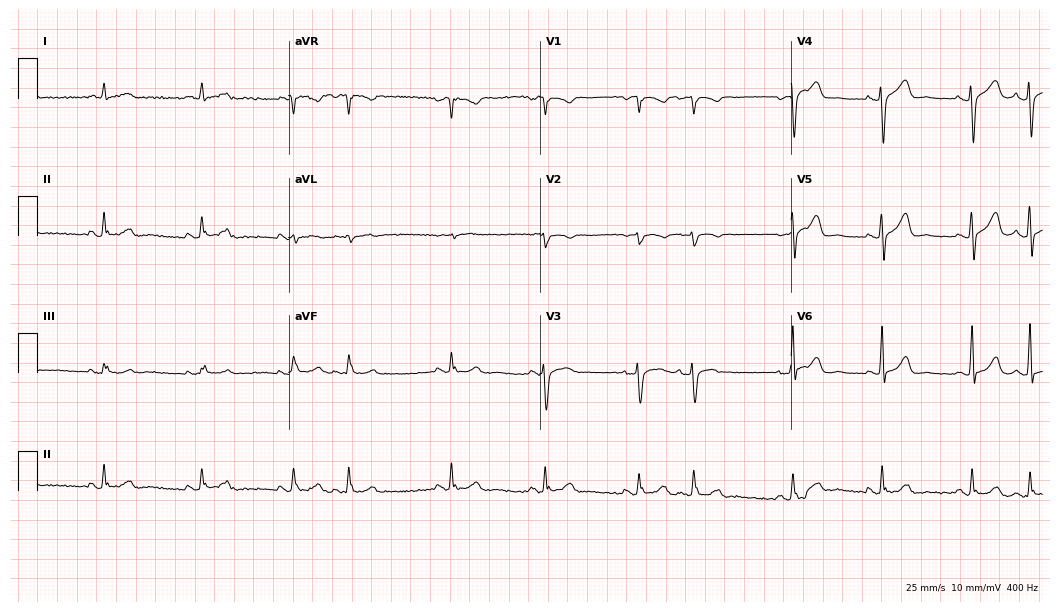
12-lead ECG from an 80-year-old man (10.2-second recording at 400 Hz). Recorded interpretation: within normal limits.